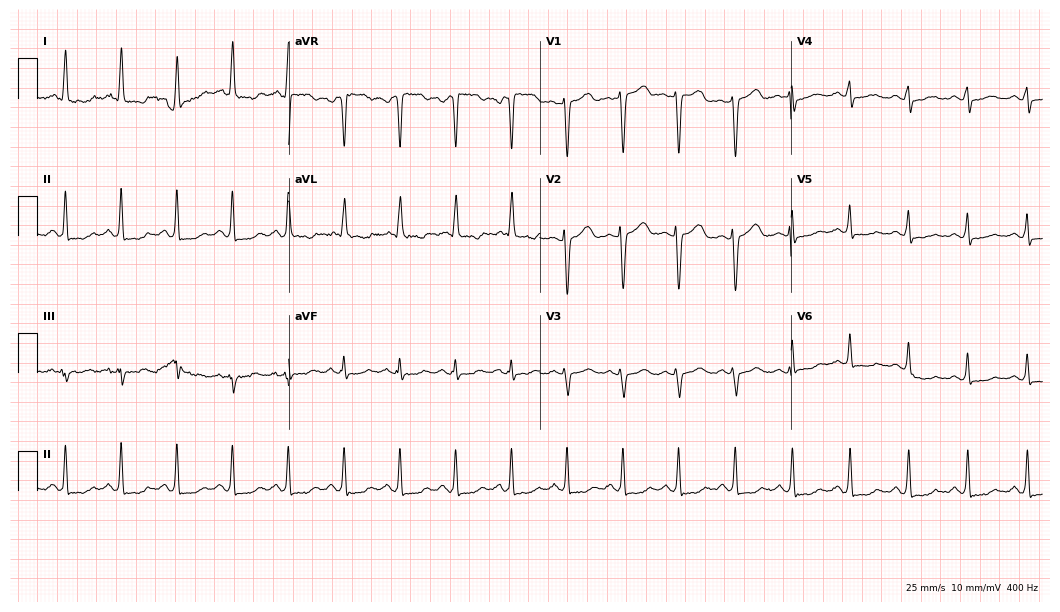
Resting 12-lead electrocardiogram. Patient: a 66-year-old female. None of these six findings is recorded: first-degree AV block, right bundle branch block, left bundle branch block, sinus bradycardia, atrial fibrillation, sinus tachycardia.